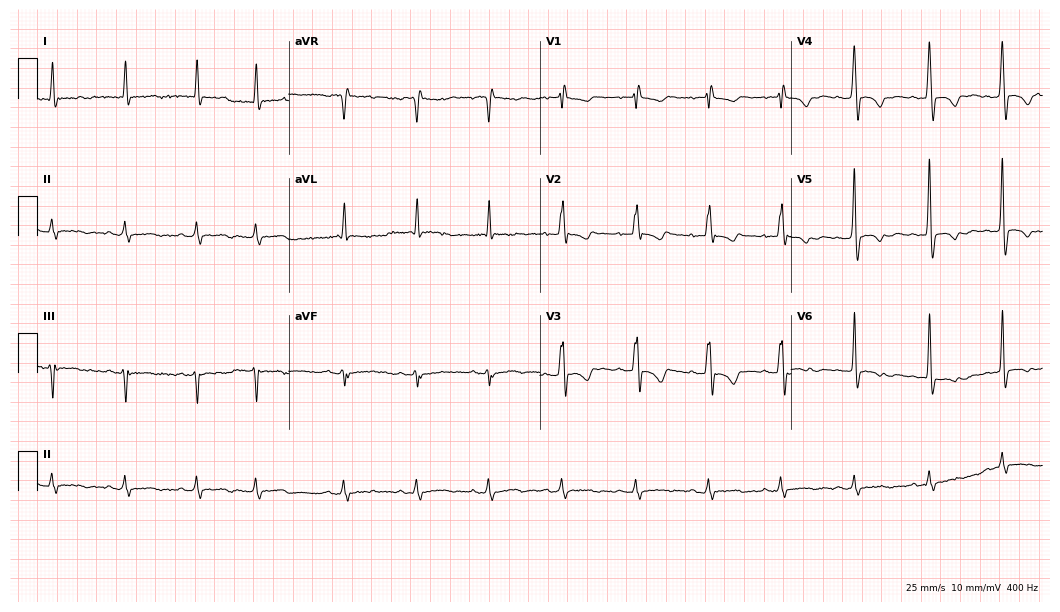
12-lead ECG from a male, 79 years old. Screened for six findings — first-degree AV block, right bundle branch block, left bundle branch block, sinus bradycardia, atrial fibrillation, sinus tachycardia — none is recorded.